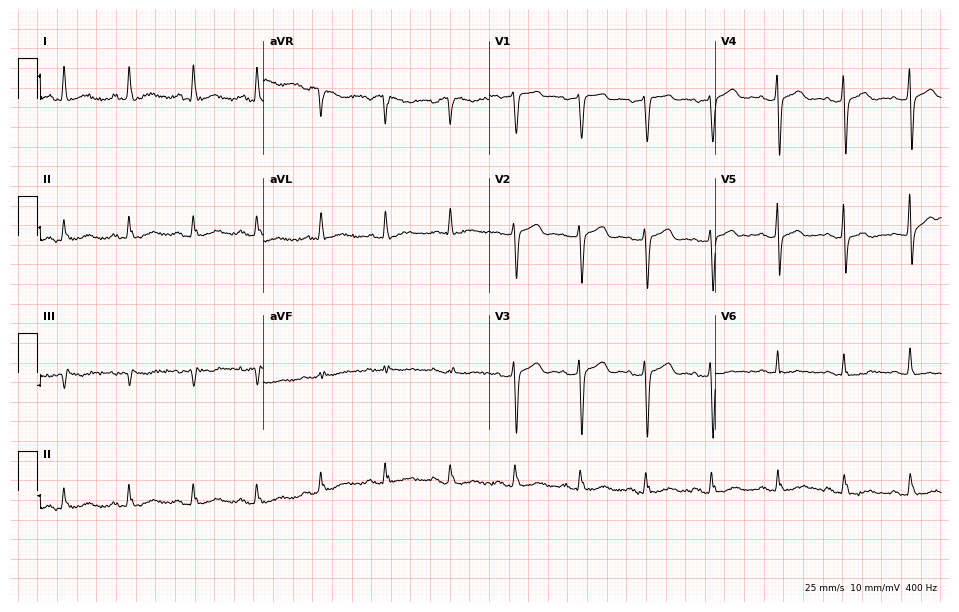
Electrocardiogram (9.2-second recording at 400 Hz), a 66-year-old female patient. Overall reading on record: normal ECG.